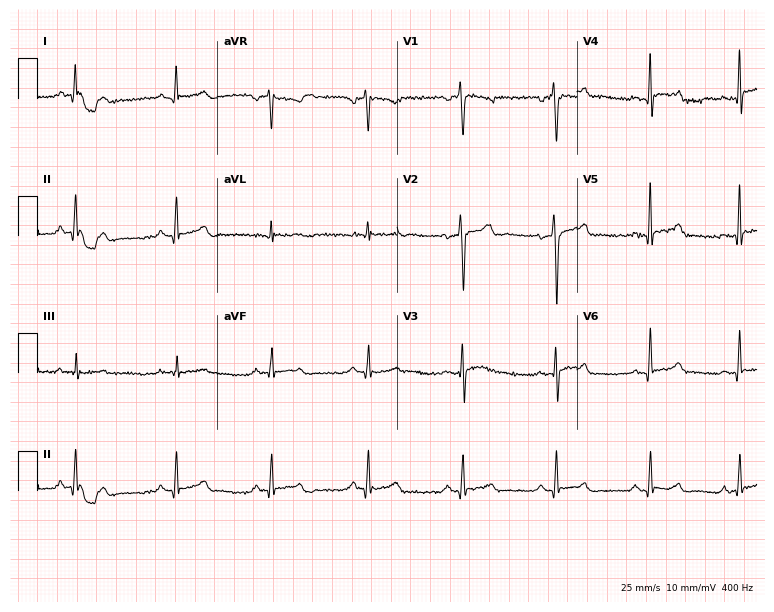
12-lead ECG from a 22-year-old male patient (7.3-second recording at 400 Hz). No first-degree AV block, right bundle branch block, left bundle branch block, sinus bradycardia, atrial fibrillation or sinus tachycardia recorded for this tracing. Other findings, if any, are not listed.